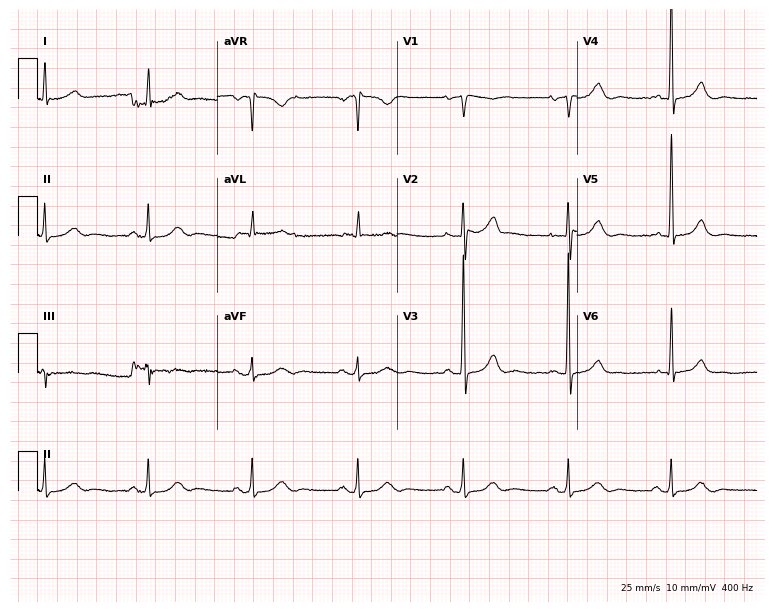
Standard 12-lead ECG recorded from a 76-year-old man (7.3-second recording at 400 Hz). None of these six findings is recorded: first-degree AV block, right bundle branch block (RBBB), left bundle branch block (LBBB), sinus bradycardia, atrial fibrillation (AF), sinus tachycardia.